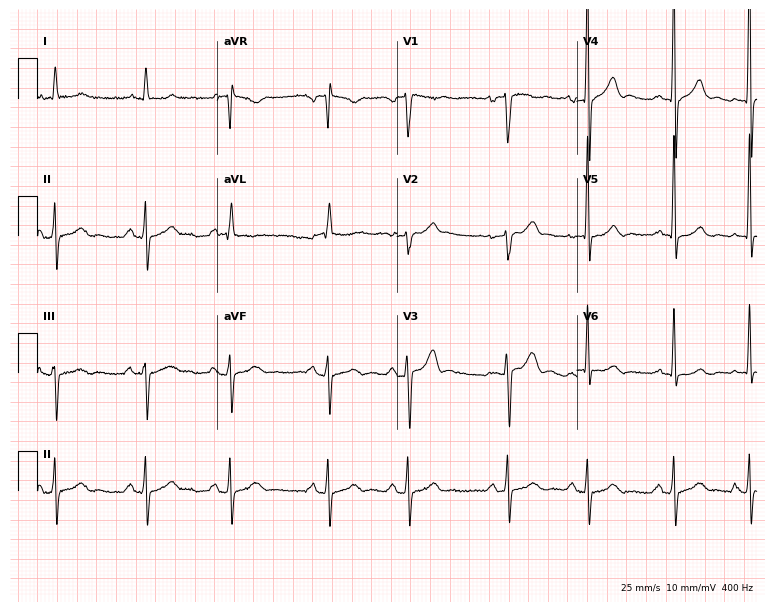
Electrocardiogram, a 61-year-old male. Of the six screened findings (first-degree AV block, right bundle branch block, left bundle branch block, sinus bradycardia, atrial fibrillation, sinus tachycardia), none is recorded. Only these six findings were labelled.